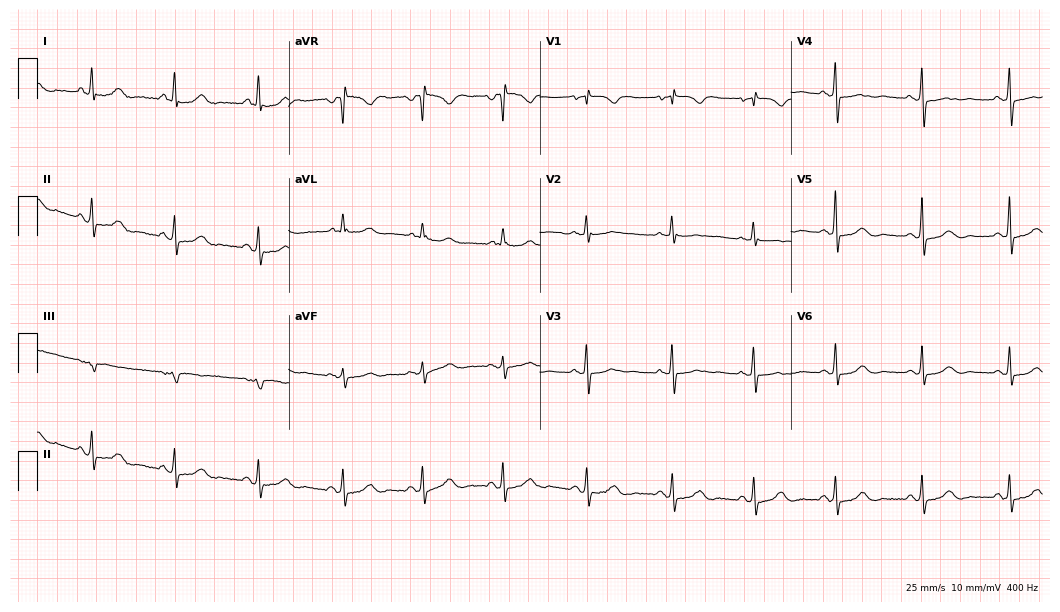
Electrocardiogram, a 64-year-old female patient. Of the six screened findings (first-degree AV block, right bundle branch block (RBBB), left bundle branch block (LBBB), sinus bradycardia, atrial fibrillation (AF), sinus tachycardia), none is recorded.